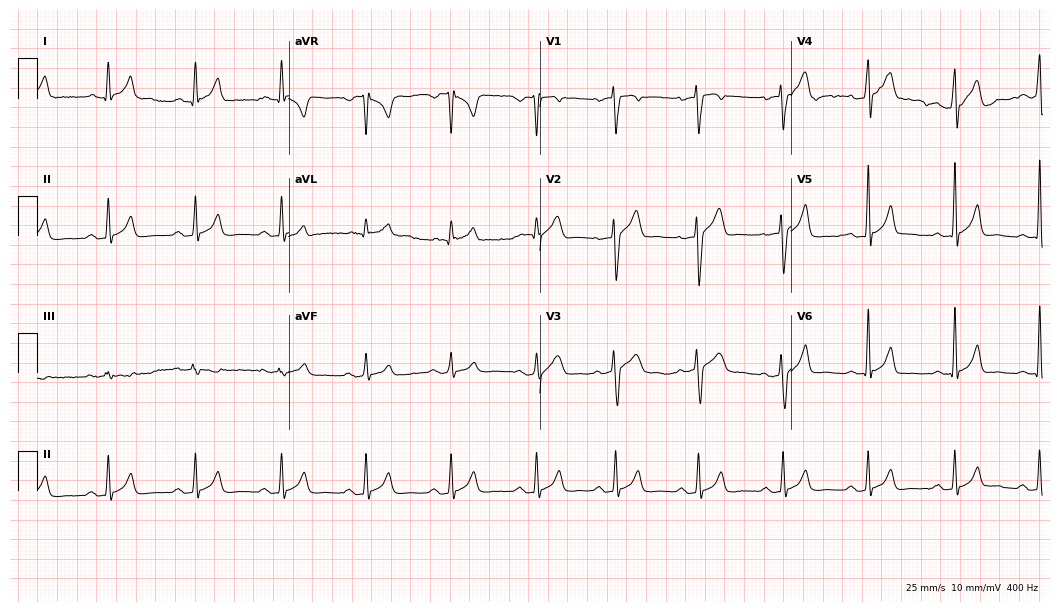
Resting 12-lead electrocardiogram (10.2-second recording at 400 Hz). Patient: a 36-year-old male. Read as a normal ECG.